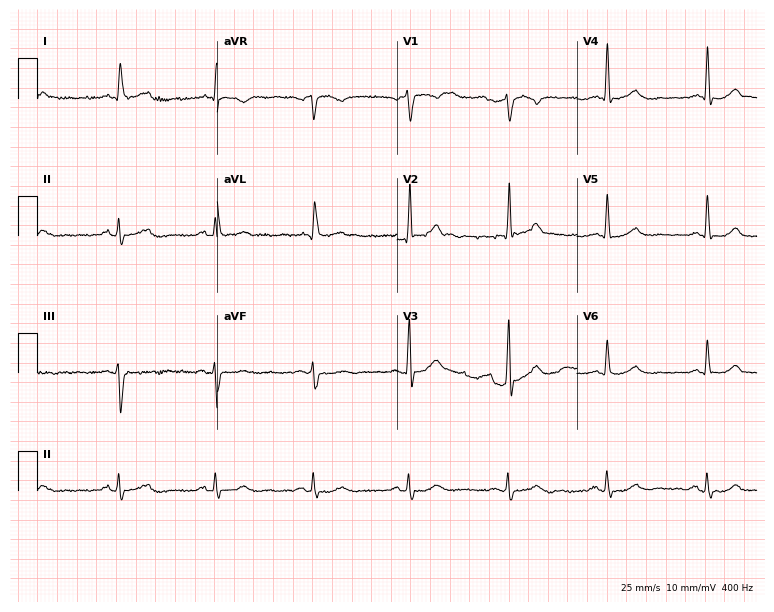
ECG — a man, 80 years old. Screened for six findings — first-degree AV block, right bundle branch block (RBBB), left bundle branch block (LBBB), sinus bradycardia, atrial fibrillation (AF), sinus tachycardia — none is recorded.